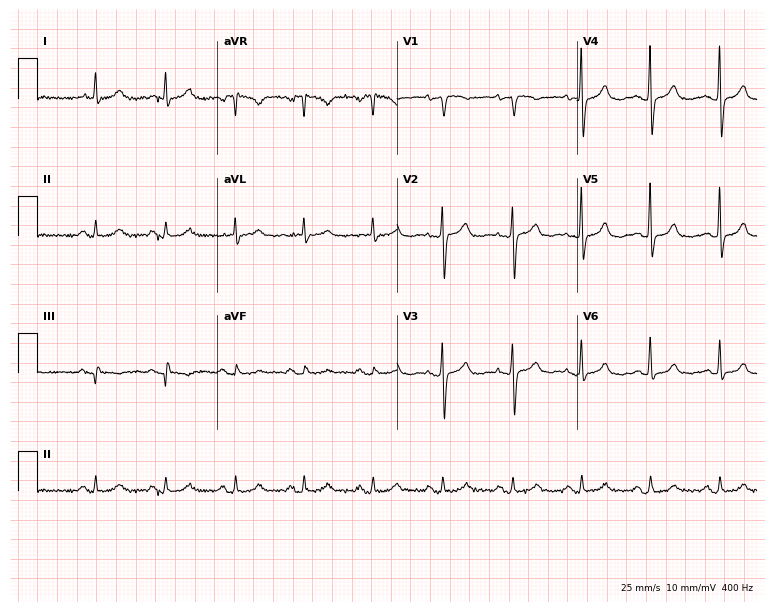
Electrocardiogram (7.3-second recording at 400 Hz), a 69-year-old female patient. Overall reading on record: normal ECG.